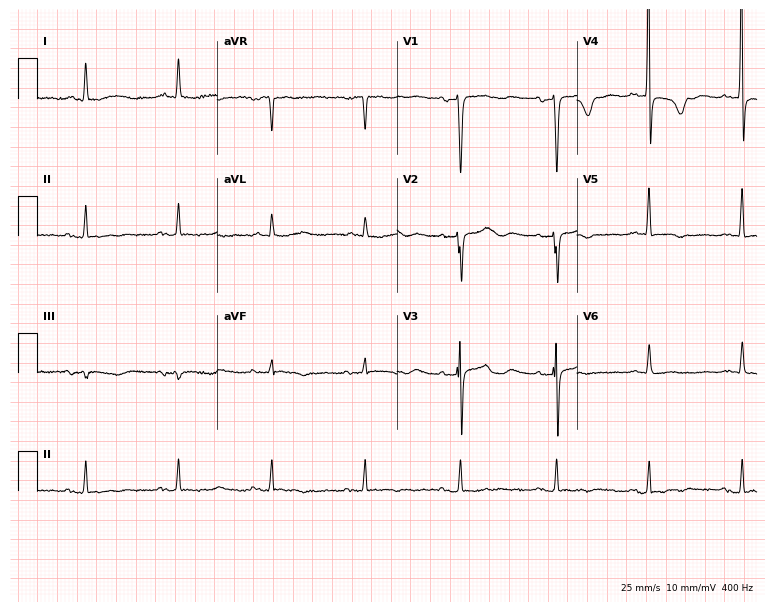
12-lead ECG from an 84-year-old female patient (7.3-second recording at 400 Hz). No first-degree AV block, right bundle branch block (RBBB), left bundle branch block (LBBB), sinus bradycardia, atrial fibrillation (AF) or sinus tachycardia recorded for this tracing.